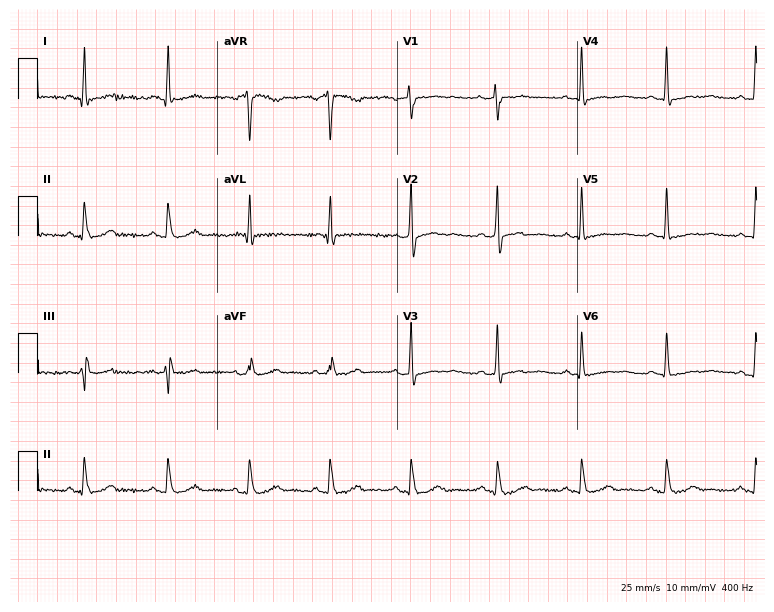
Resting 12-lead electrocardiogram (7.3-second recording at 400 Hz). Patient: a male, 42 years old. None of these six findings is recorded: first-degree AV block, right bundle branch block (RBBB), left bundle branch block (LBBB), sinus bradycardia, atrial fibrillation (AF), sinus tachycardia.